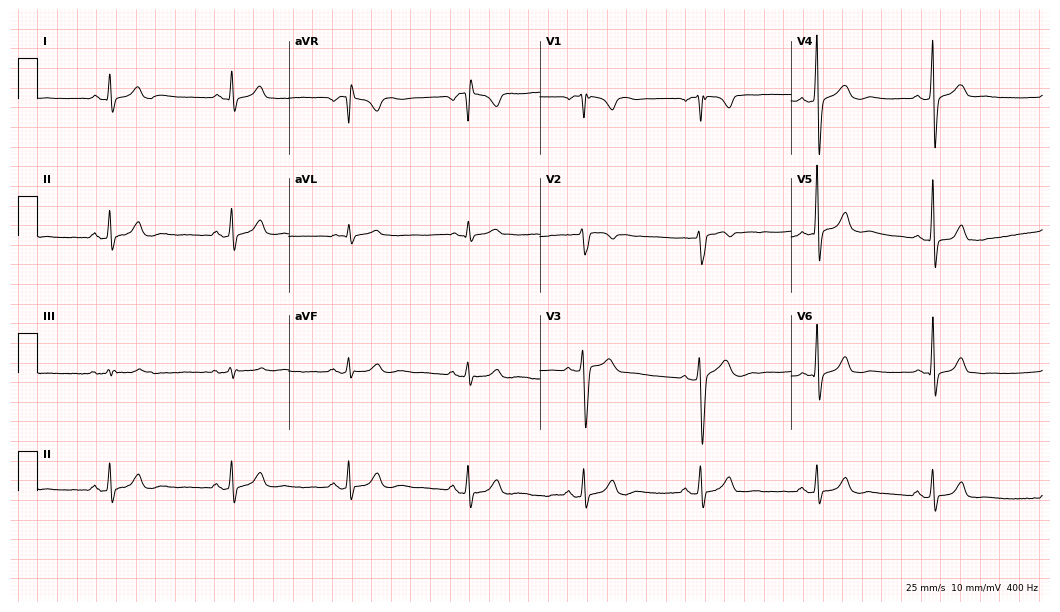
ECG — a male patient, 32 years old. Screened for six findings — first-degree AV block, right bundle branch block, left bundle branch block, sinus bradycardia, atrial fibrillation, sinus tachycardia — none is recorded.